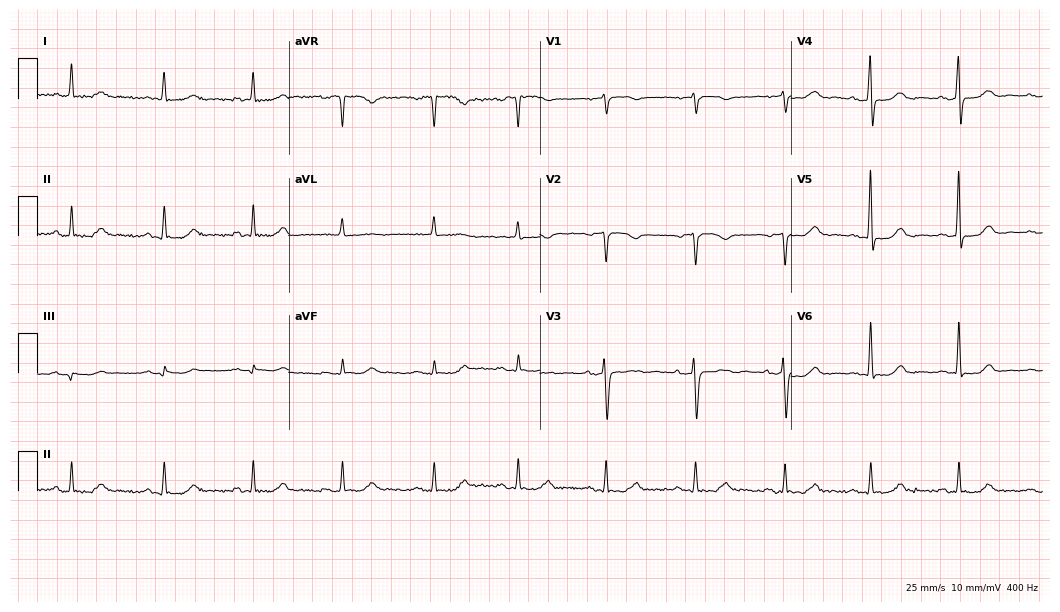
12-lead ECG from a female patient, 74 years old. No first-degree AV block, right bundle branch block, left bundle branch block, sinus bradycardia, atrial fibrillation or sinus tachycardia recorded for this tracing.